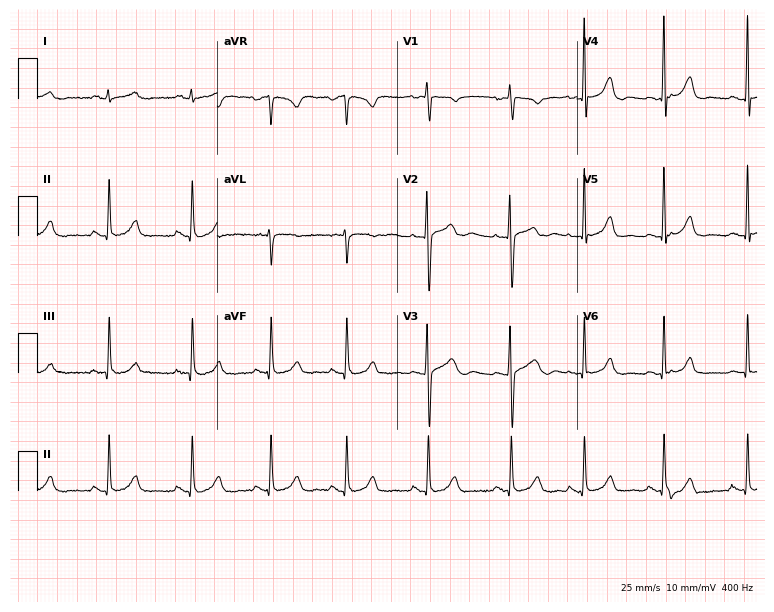
Resting 12-lead electrocardiogram. Patient: an 18-year-old female. None of these six findings is recorded: first-degree AV block, right bundle branch block, left bundle branch block, sinus bradycardia, atrial fibrillation, sinus tachycardia.